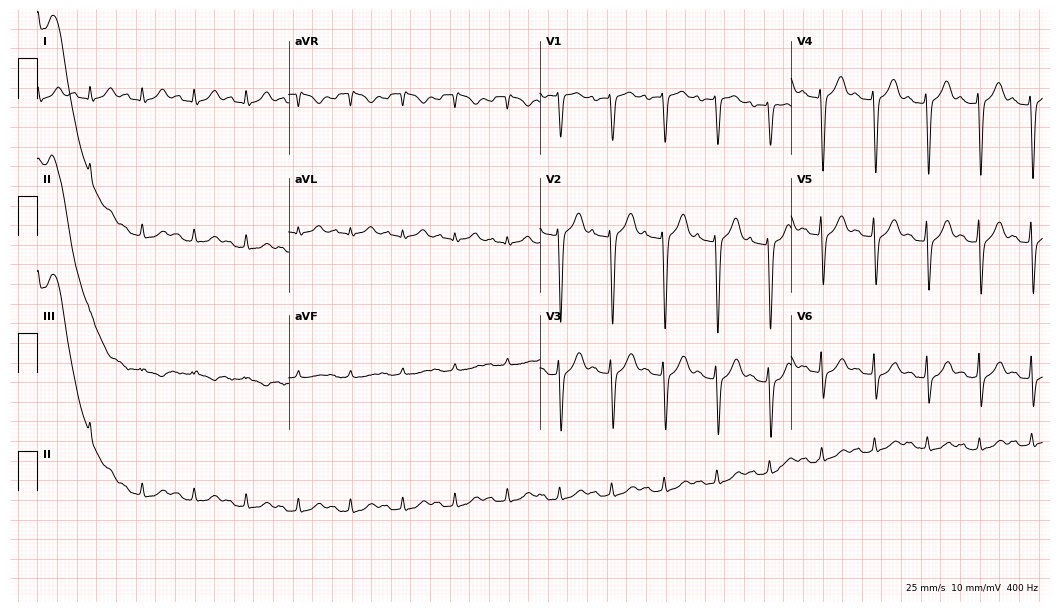
Standard 12-lead ECG recorded from a 72-year-old male patient. The tracing shows sinus tachycardia (a sinus rate of 100 beats per minute or more).